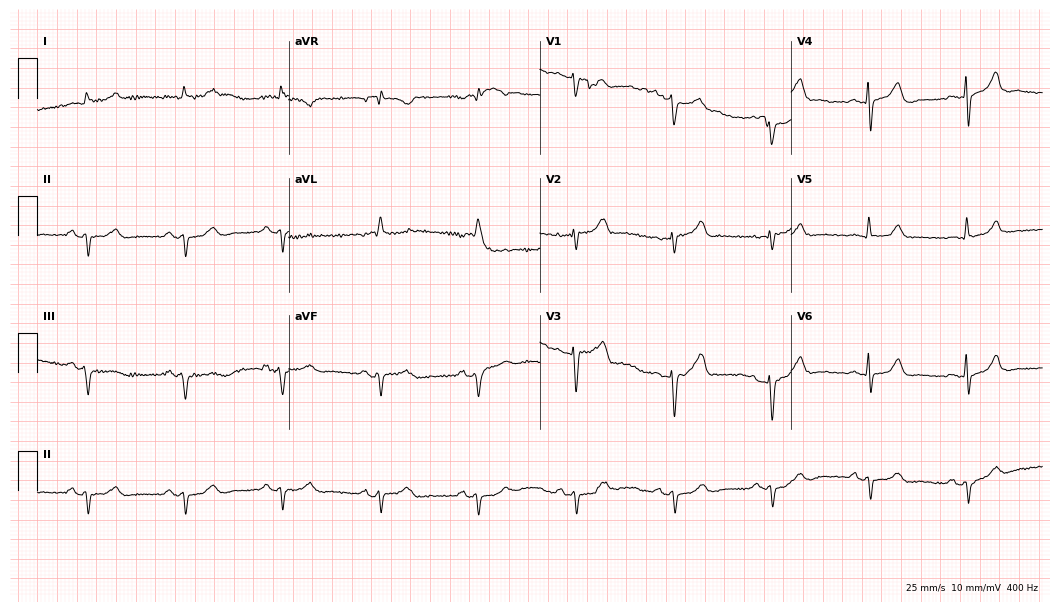
ECG (10.2-second recording at 400 Hz) — a 76-year-old male patient. Screened for six findings — first-degree AV block, right bundle branch block, left bundle branch block, sinus bradycardia, atrial fibrillation, sinus tachycardia — none is recorded.